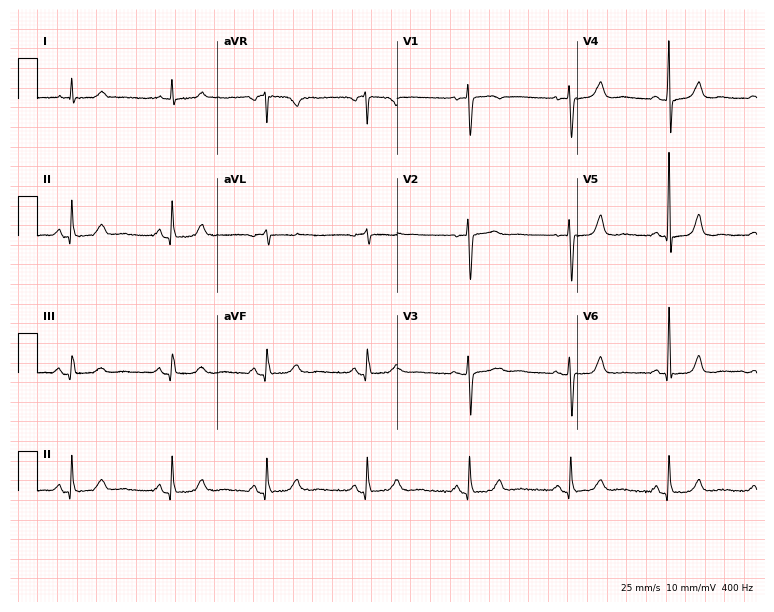
12-lead ECG (7.3-second recording at 400 Hz) from a woman, 65 years old. Labelled as a normal ECG.